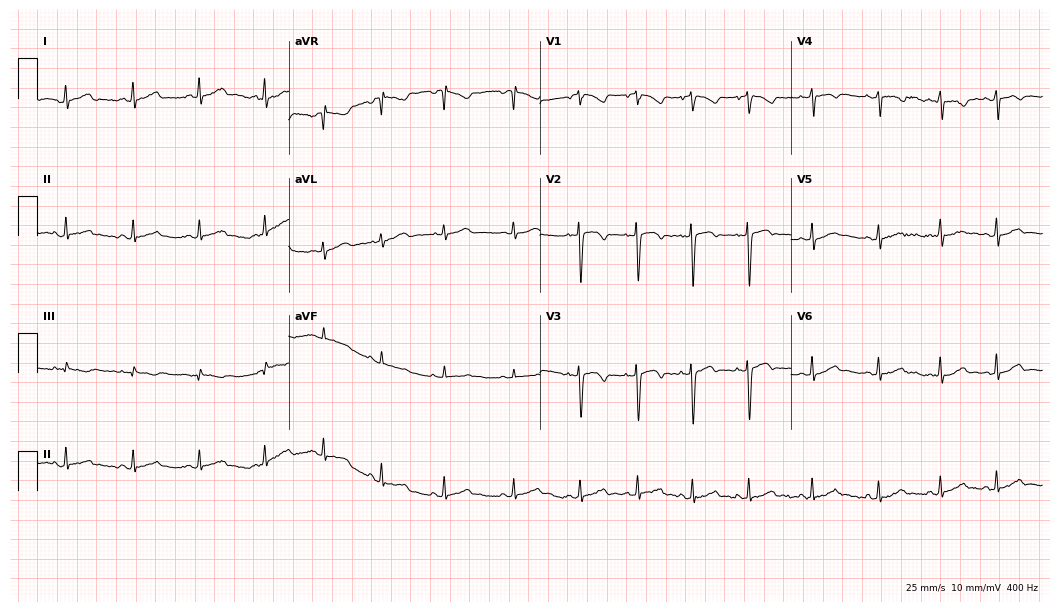
Resting 12-lead electrocardiogram. Patient: a woman, 18 years old. None of these six findings is recorded: first-degree AV block, right bundle branch block, left bundle branch block, sinus bradycardia, atrial fibrillation, sinus tachycardia.